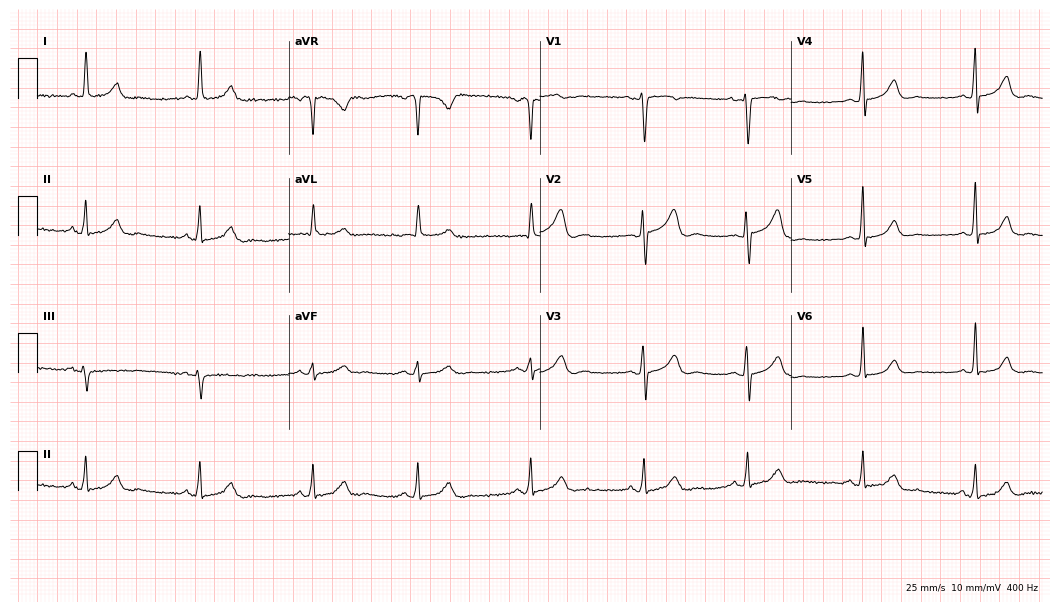
Electrocardiogram, a 47-year-old woman. Overall reading on record: normal ECG.